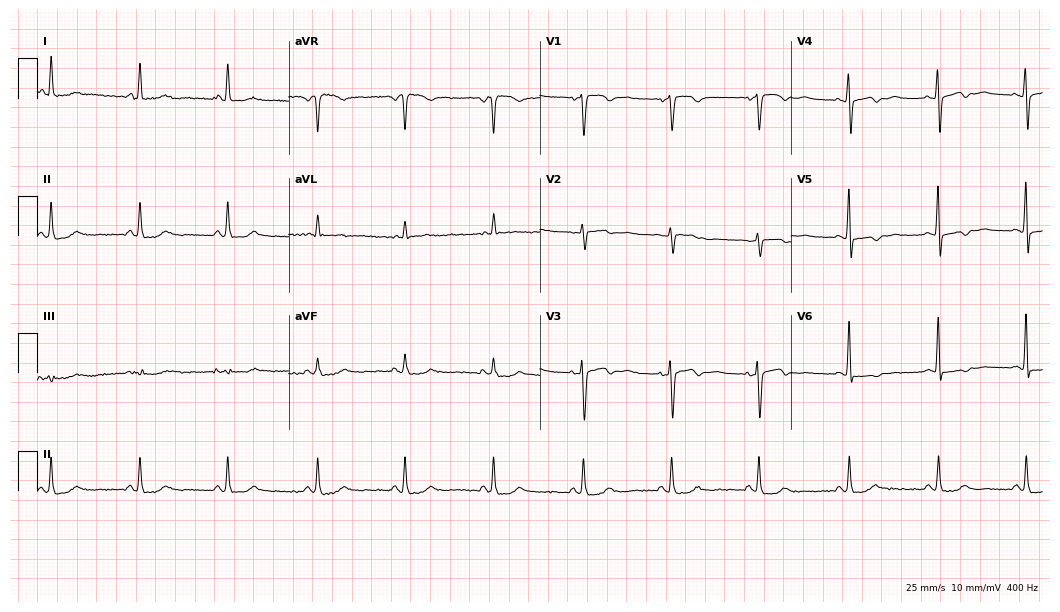
ECG (10.2-second recording at 400 Hz) — a female patient, 58 years old. Screened for six findings — first-degree AV block, right bundle branch block, left bundle branch block, sinus bradycardia, atrial fibrillation, sinus tachycardia — none is recorded. Other findings, if any, are not listed.